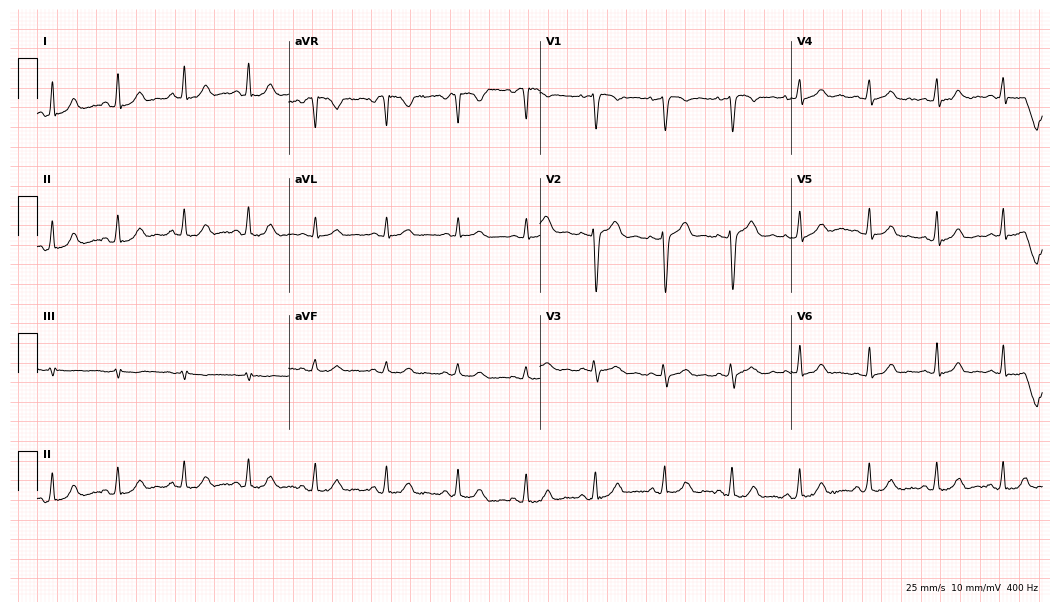
12-lead ECG from a 30-year-old female patient. Labelled as a normal ECG.